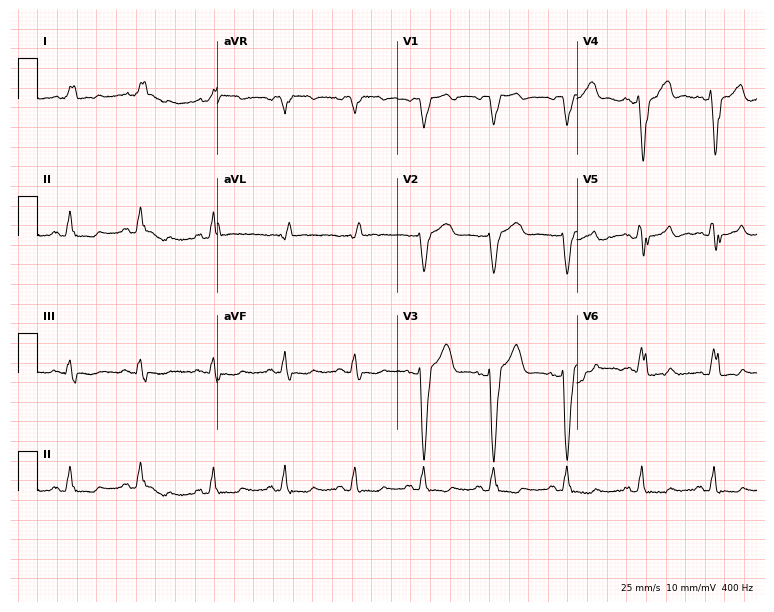
12-lead ECG (7.3-second recording at 400 Hz) from a 74-year-old man. Findings include left bundle branch block (LBBB).